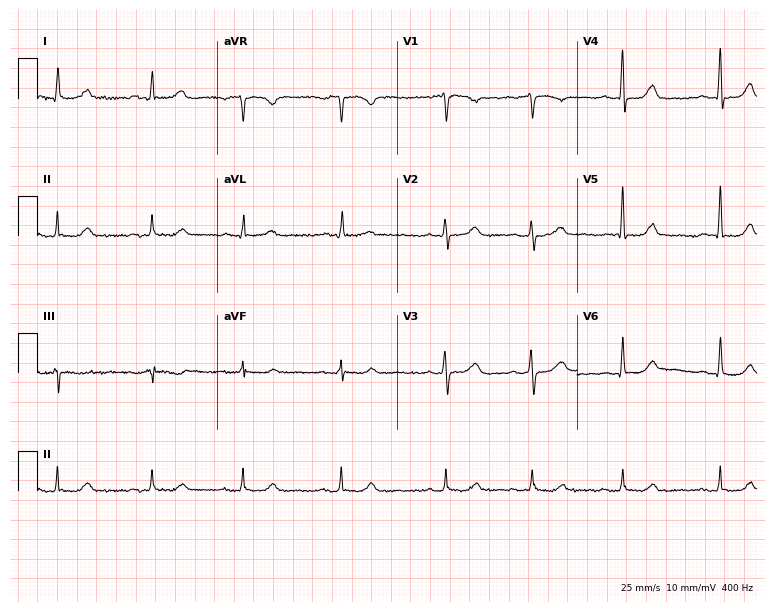
12-lead ECG (7.3-second recording at 400 Hz) from a female patient, 73 years old. Labelled as a normal ECG.